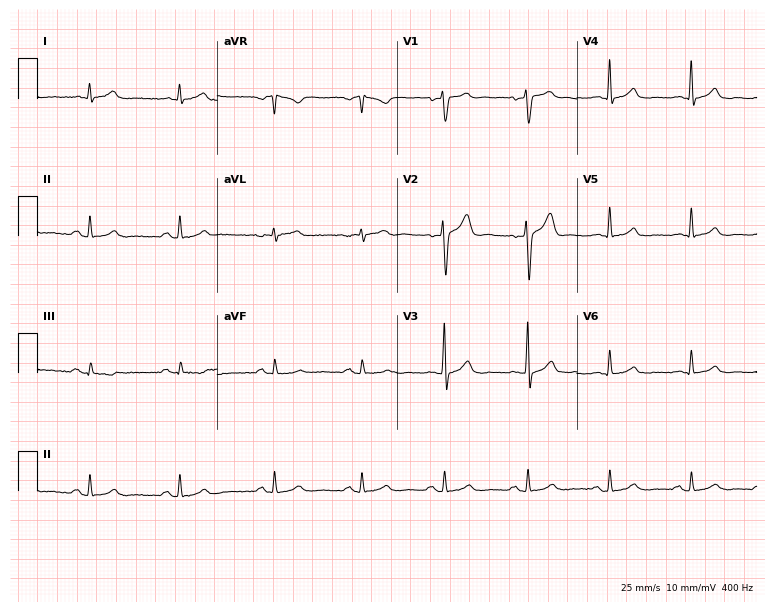
12-lead ECG (7.3-second recording at 400 Hz) from a 24-year-old male patient. Screened for six findings — first-degree AV block, right bundle branch block, left bundle branch block, sinus bradycardia, atrial fibrillation, sinus tachycardia — none is recorded. Only these six findings were labelled.